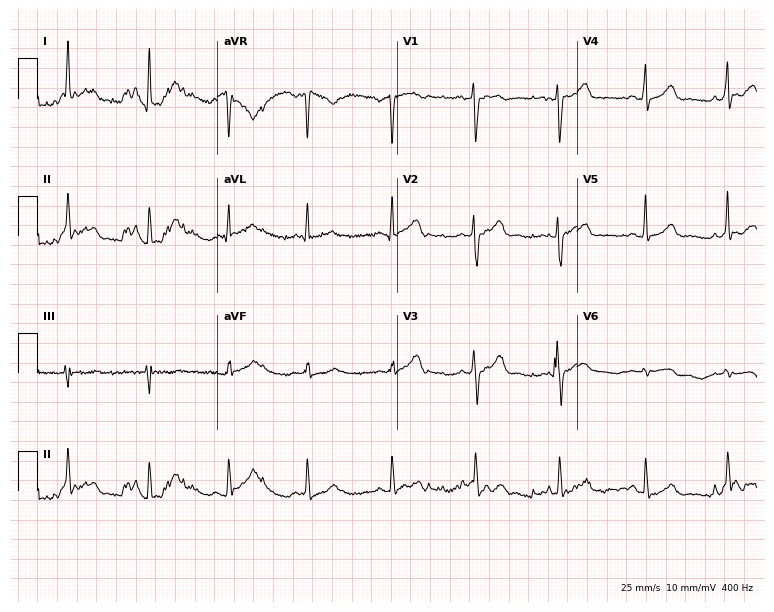
ECG (7.3-second recording at 400 Hz) — a 28-year-old female. Labelled as a normal ECG.